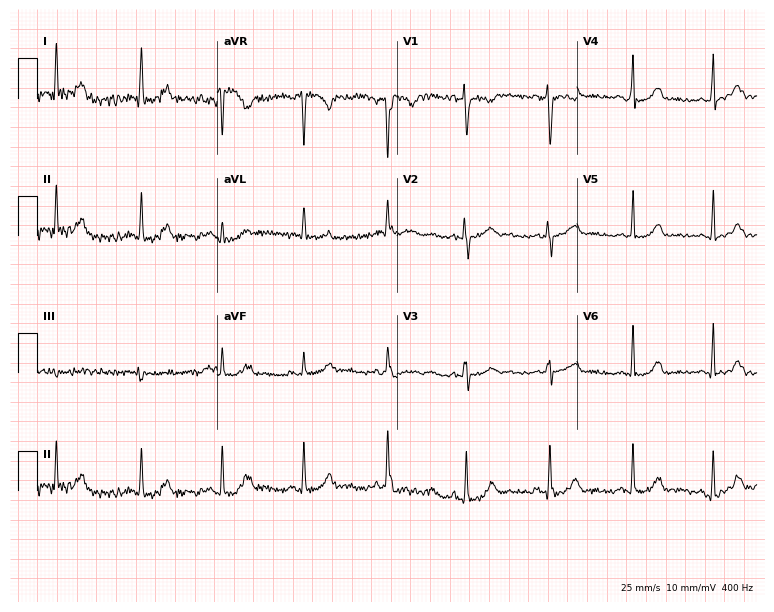
Standard 12-lead ECG recorded from a female, 24 years old. Read as a normal ECG.